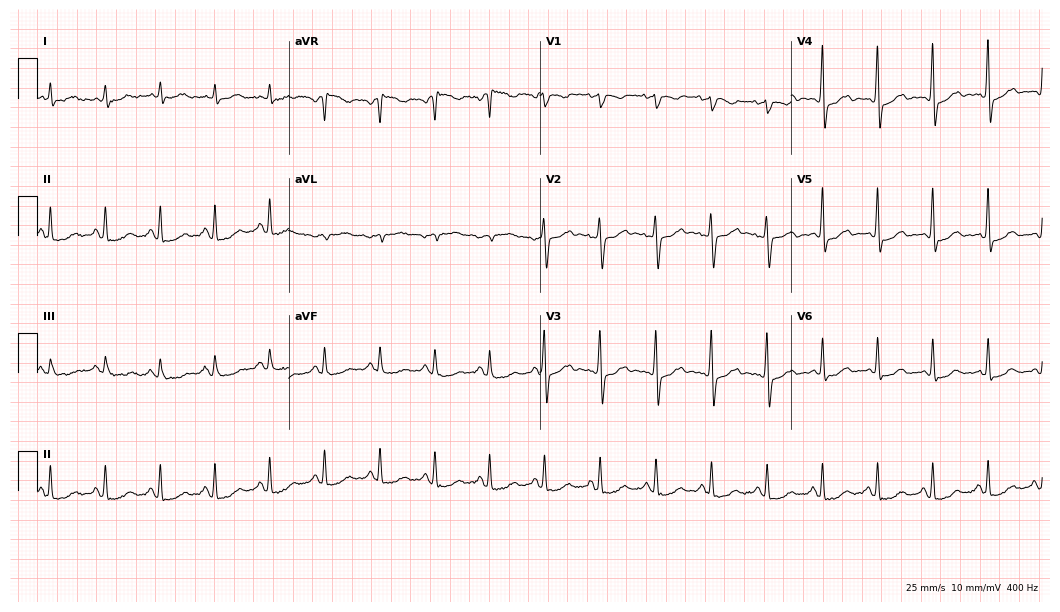
ECG — a 74-year-old woman. Screened for six findings — first-degree AV block, right bundle branch block, left bundle branch block, sinus bradycardia, atrial fibrillation, sinus tachycardia — none is recorded.